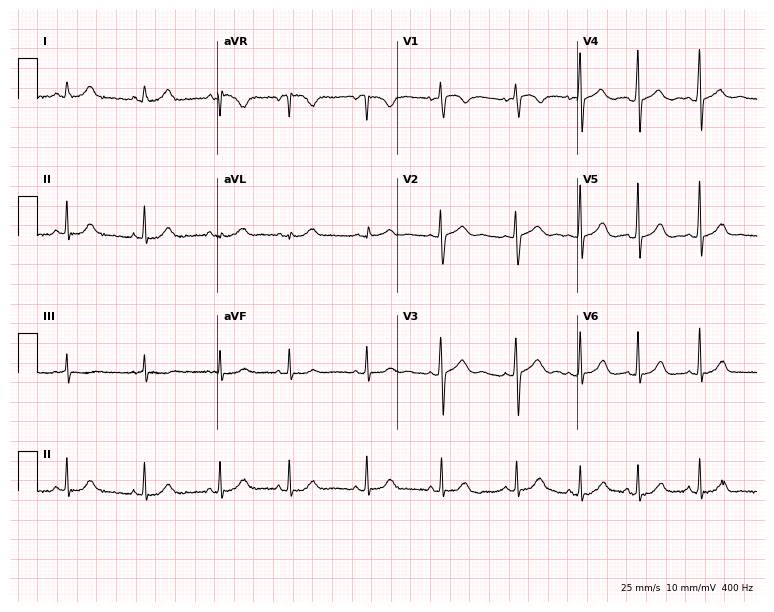
Standard 12-lead ECG recorded from a female patient, 23 years old. None of these six findings is recorded: first-degree AV block, right bundle branch block, left bundle branch block, sinus bradycardia, atrial fibrillation, sinus tachycardia. Other findings, if any, are not listed.